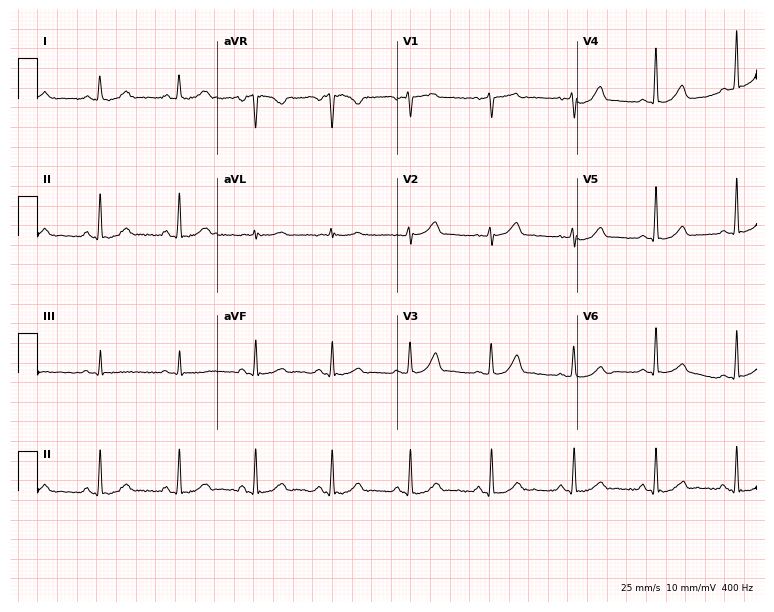
Electrocardiogram (7.3-second recording at 400 Hz), a 48-year-old woman. Of the six screened findings (first-degree AV block, right bundle branch block, left bundle branch block, sinus bradycardia, atrial fibrillation, sinus tachycardia), none is recorded. Other findings, if any, are not listed.